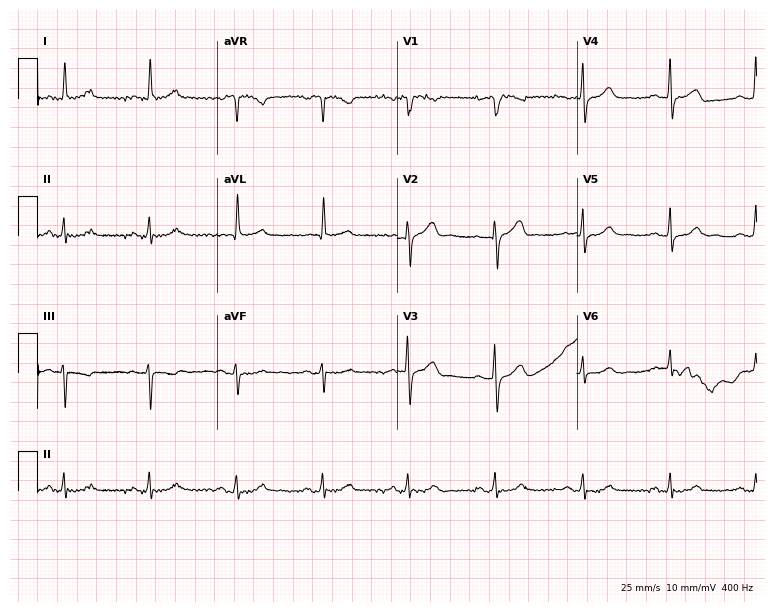
ECG (7.3-second recording at 400 Hz) — a man, 76 years old. Labelled as a normal ECG.